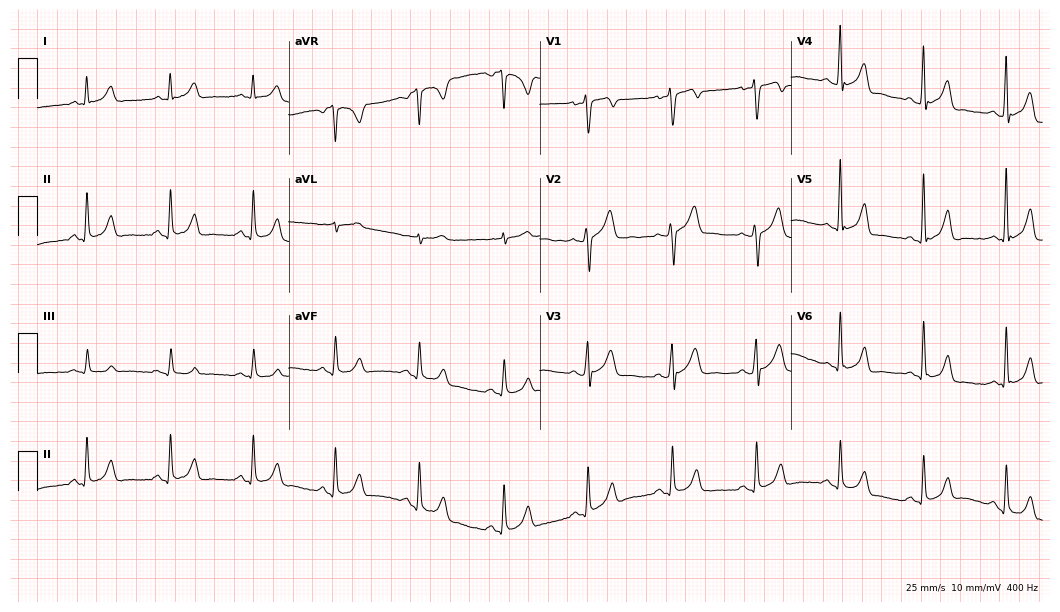
12-lead ECG from a male patient, 49 years old. Labelled as a normal ECG.